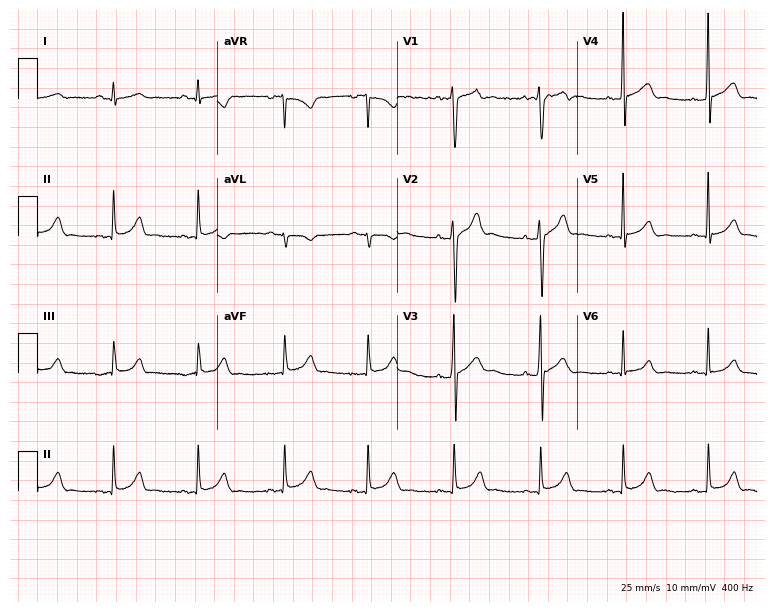
Resting 12-lead electrocardiogram. Patient: a male, 26 years old. None of these six findings is recorded: first-degree AV block, right bundle branch block, left bundle branch block, sinus bradycardia, atrial fibrillation, sinus tachycardia.